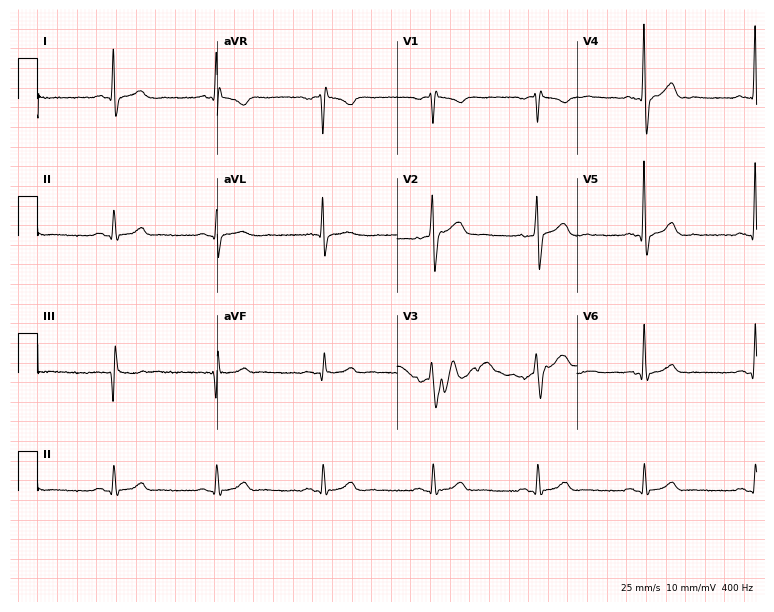
12-lead ECG from a 61-year-old man. Screened for six findings — first-degree AV block, right bundle branch block, left bundle branch block, sinus bradycardia, atrial fibrillation, sinus tachycardia — none is recorded.